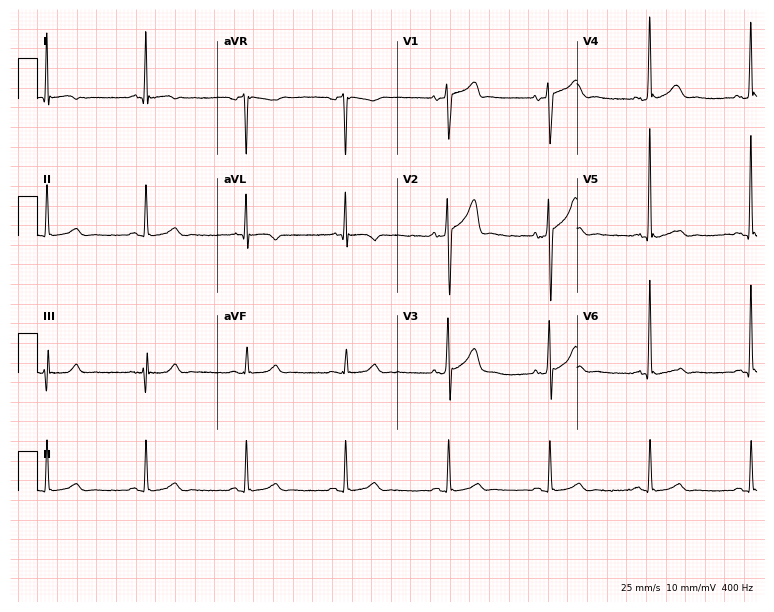
12-lead ECG (7.3-second recording at 400 Hz) from a 55-year-old male. Screened for six findings — first-degree AV block, right bundle branch block (RBBB), left bundle branch block (LBBB), sinus bradycardia, atrial fibrillation (AF), sinus tachycardia — none is recorded.